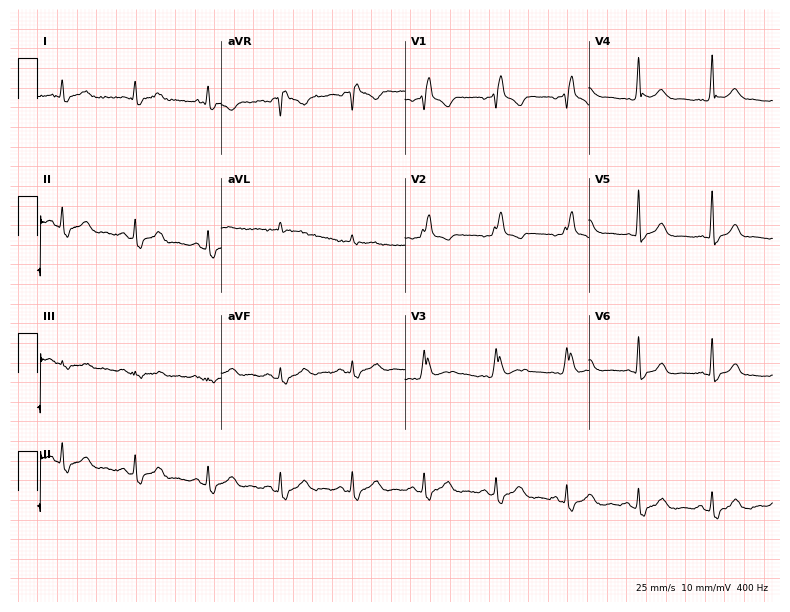
Electrocardiogram, a male, 70 years old. Of the six screened findings (first-degree AV block, right bundle branch block, left bundle branch block, sinus bradycardia, atrial fibrillation, sinus tachycardia), none is recorded. Other findings, if any, are not listed.